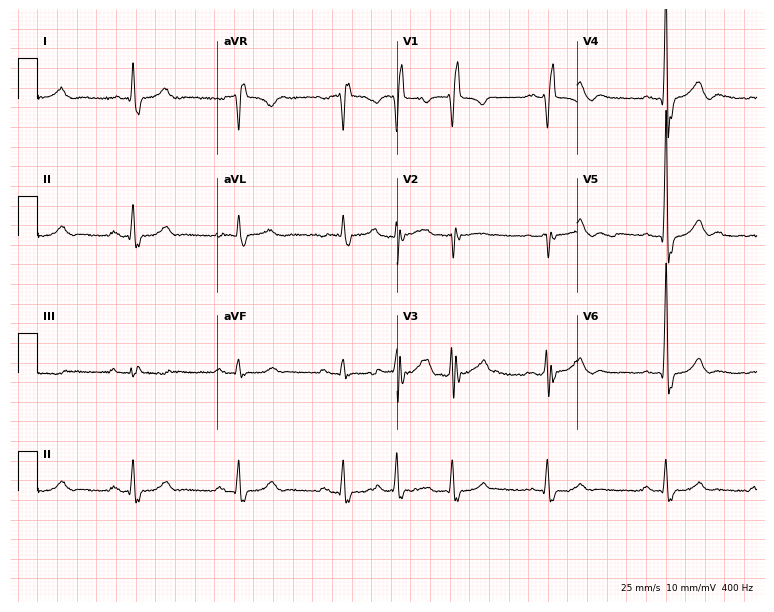
Resting 12-lead electrocardiogram (7.3-second recording at 400 Hz). Patient: a 77-year-old male. The tracing shows right bundle branch block.